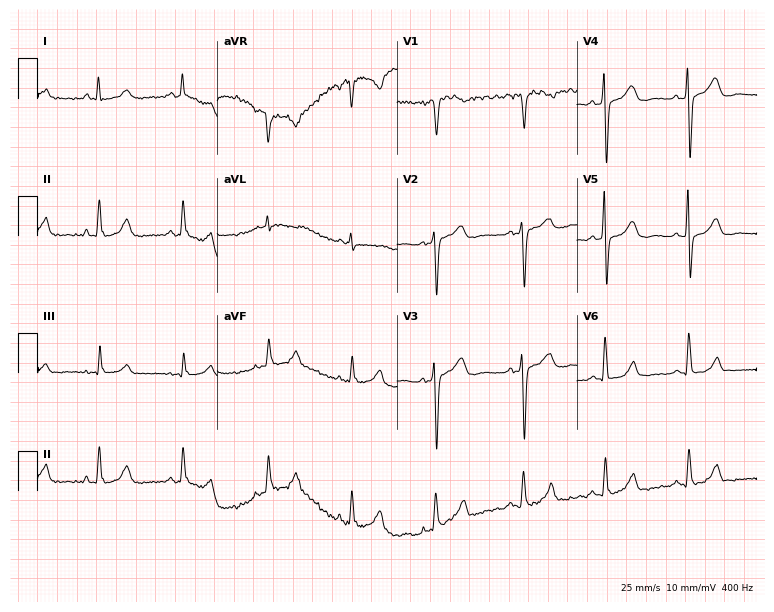
12-lead ECG from a female patient, 42 years old. No first-degree AV block, right bundle branch block, left bundle branch block, sinus bradycardia, atrial fibrillation or sinus tachycardia recorded for this tracing. Other findings, if any, are not listed.